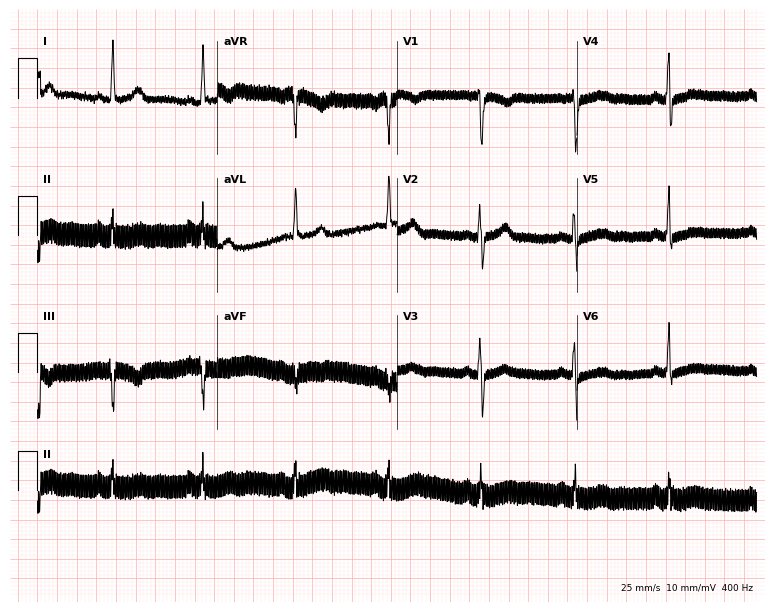
Electrocardiogram, a 41-year-old man. Of the six screened findings (first-degree AV block, right bundle branch block, left bundle branch block, sinus bradycardia, atrial fibrillation, sinus tachycardia), none is recorded. Findings outside these six are not listed.